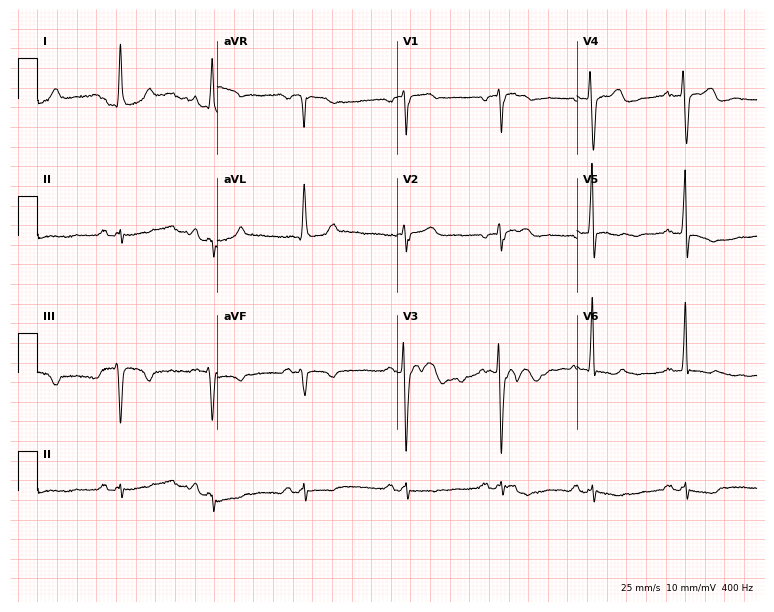
Electrocardiogram (7.3-second recording at 400 Hz), a 75-year-old female patient. Of the six screened findings (first-degree AV block, right bundle branch block, left bundle branch block, sinus bradycardia, atrial fibrillation, sinus tachycardia), none is recorded. Other findings, if any, are not listed.